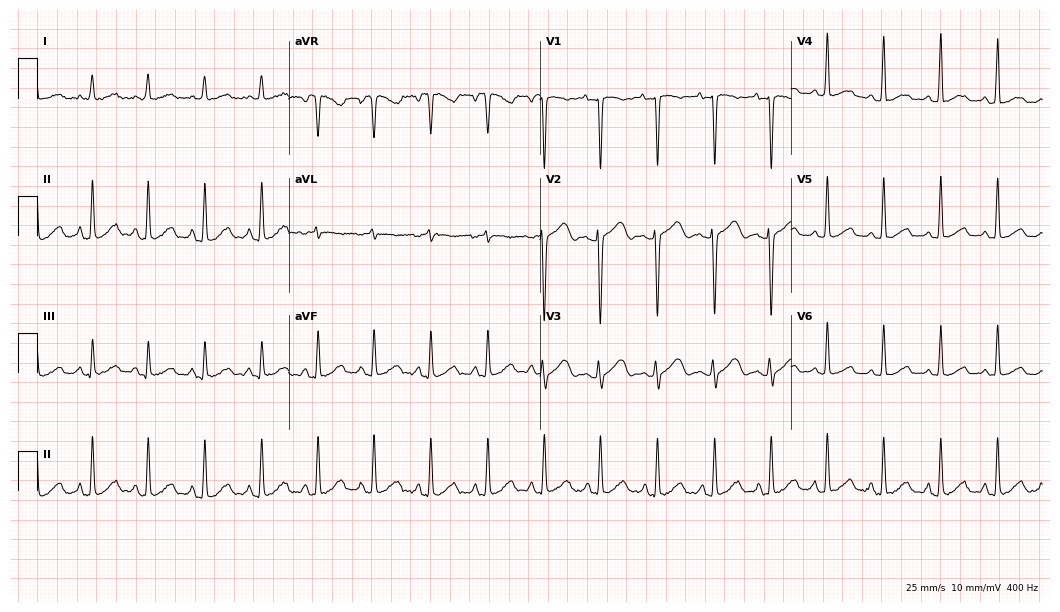
Standard 12-lead ECG recorded from a woman, 81 years old (10.2-second recording at 400 Hz). None of these six findings is recorded: first-degree AV block, right bundle branch block, left bundle branch block, sinus bradycardia, atrial fibrillation, sinus tachycardia.